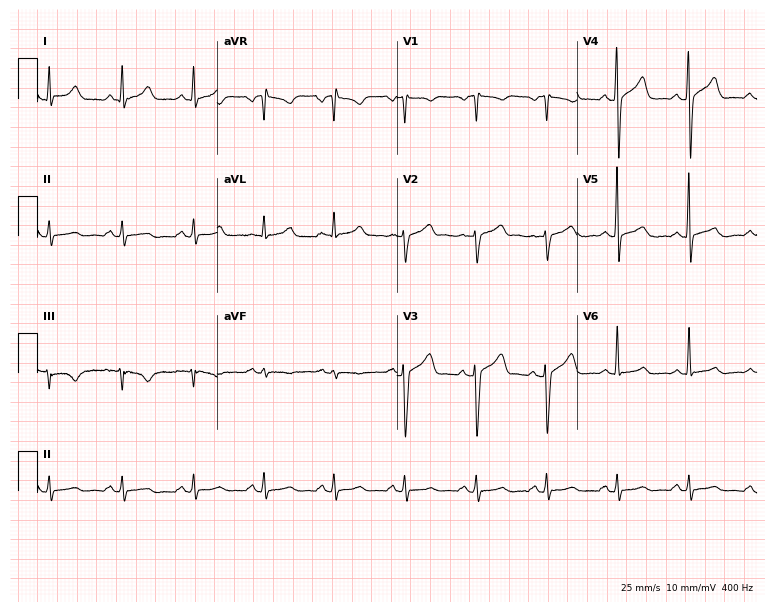
Resting 12-lead electrocardiogram (7.3-second recording at 400 Hz). Patient: a 47-year-old male. Read as a normal ECG.